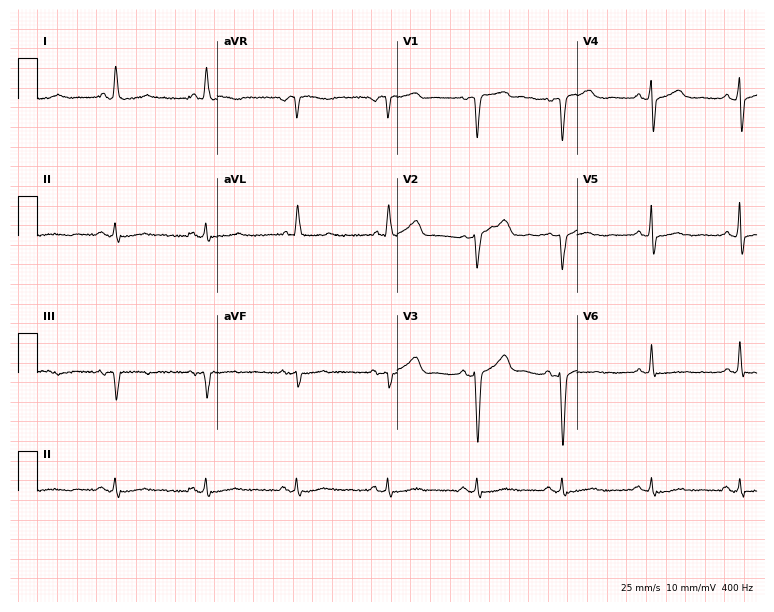
12-lead ECG from a male patient, 67 years old. Recorded interpretation: within normal limits.